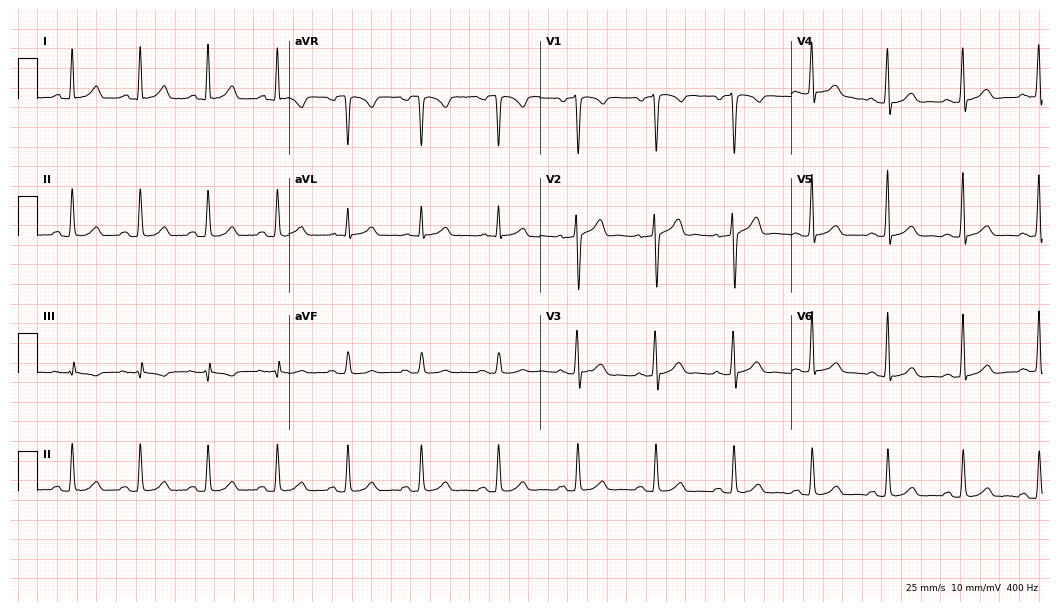
Resting 12-lead electrocardiogram. Patient: a male, 44 years old. Read as a normal ECG.